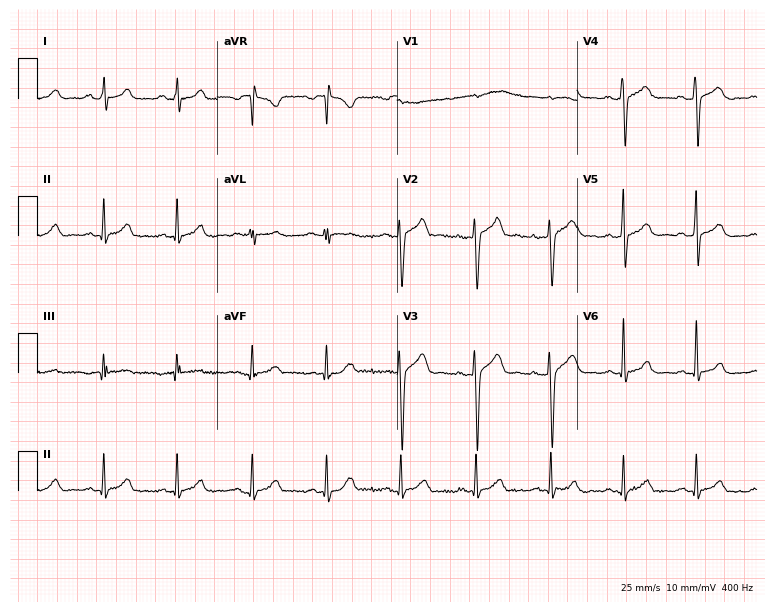
Resting 12-lead electrocardiogram (7.3-second recording at 400 Hz). Patient: a male, 26 years old. Read as a normal ECG.